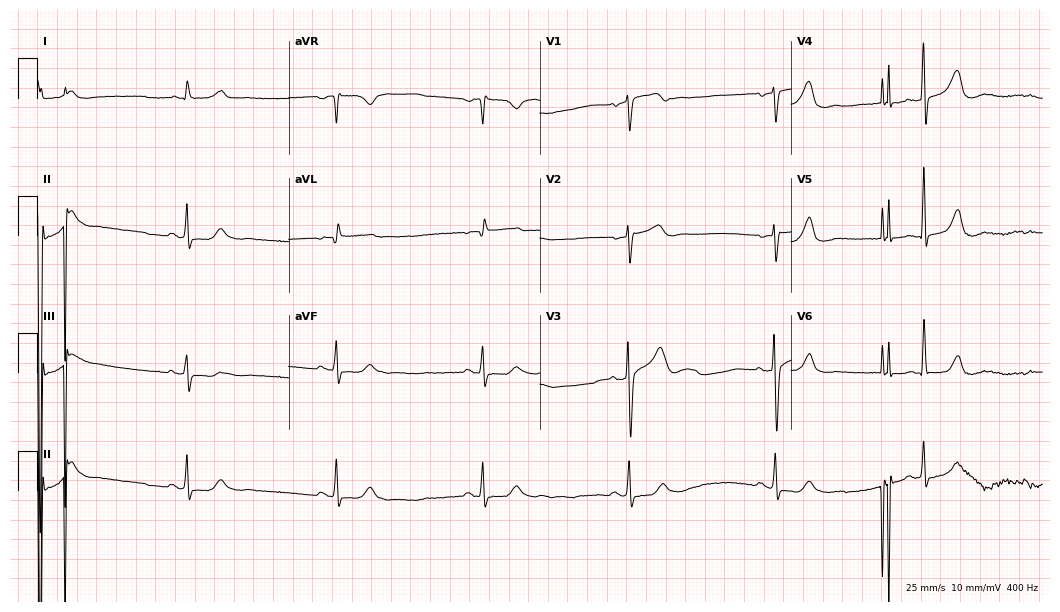
12-lead ECG from a 77-year-old female patient (10.2-second recording at 400 Hz). Shows sinus bradycardia (a sinus rate of 50 beats per minute or less).